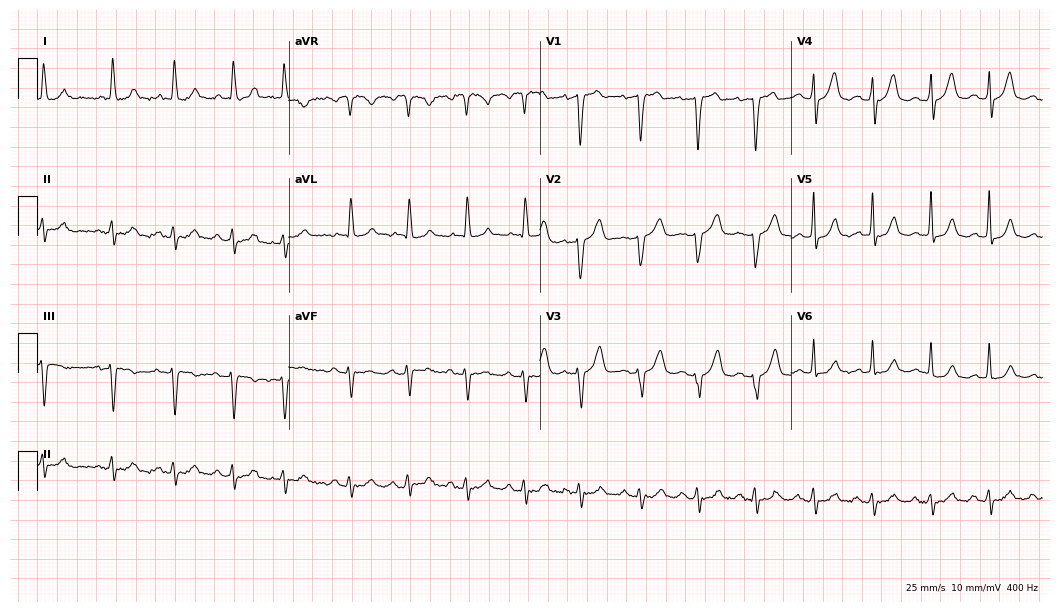
Electrocardiogram (10.2-second recording at 400 Hz), a male, 83 years old. Of the six screened findings (first-degree AV block, right bundle branch block, left bundle branch block, sinus bradycardia, atrial fibrillation, sinus tachycardia), none is recorded. Other findings, if any, are not listed.